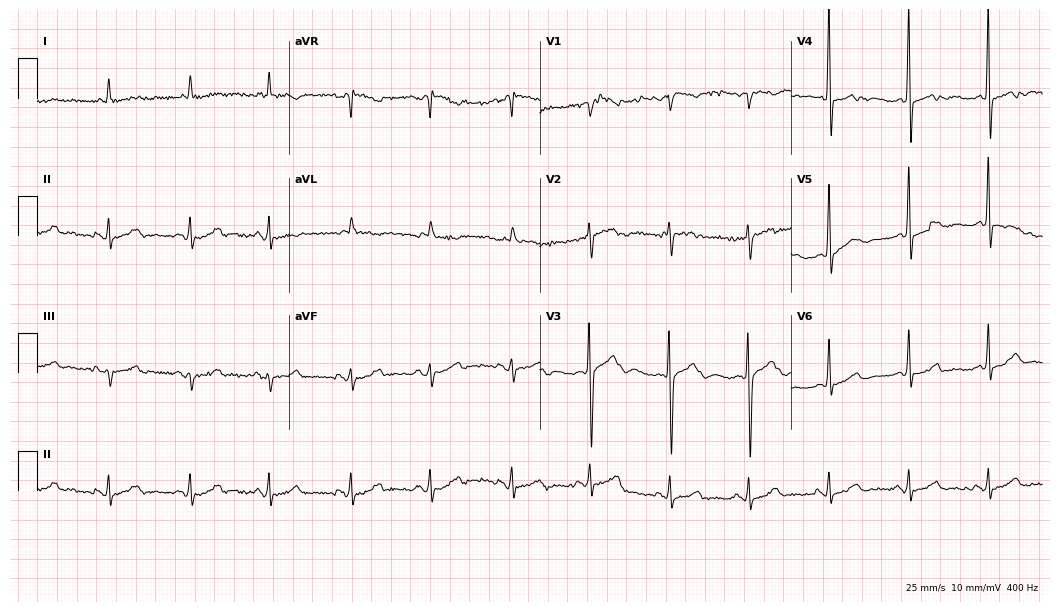
12-lead ECG from a female patient, 72 years old. No first-degree AV block, right bundle branch block, left bundle branch block, sinus bradycardia, atrial fibrillation or sinus tachycardia recorded for this tracing.